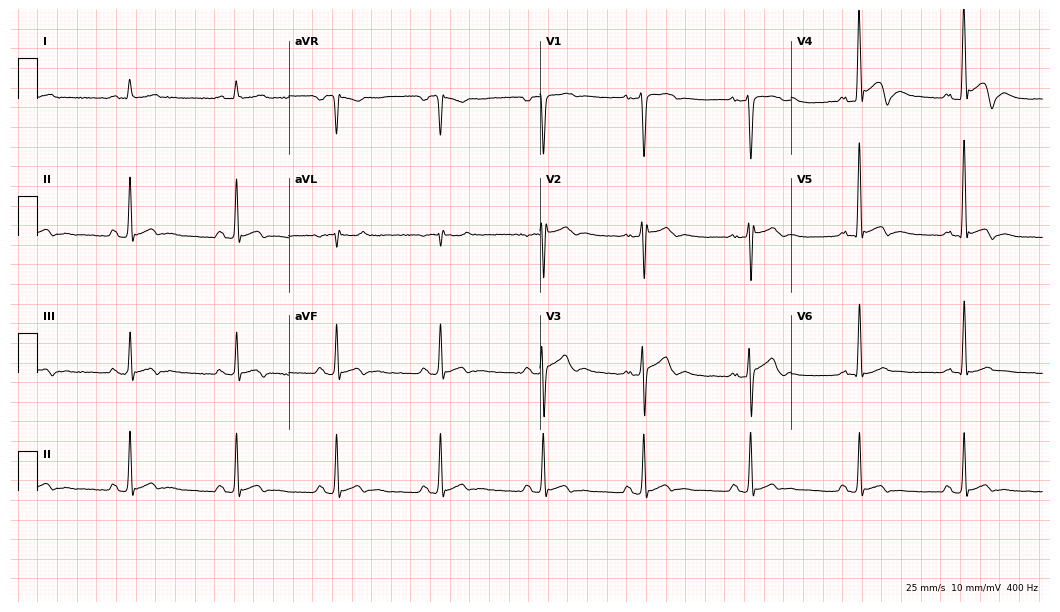
Standard 12-lead ECG recorded from a 21-year-old male patient (10.2-second recording at 400 Hz). None of these six findings is recorded: first-degree AV block, right bundle branch block (RBBB), left bundle branch block (LBBB), sinus bradycardia, atrial fibrillation (AF), sinus tachycardia.